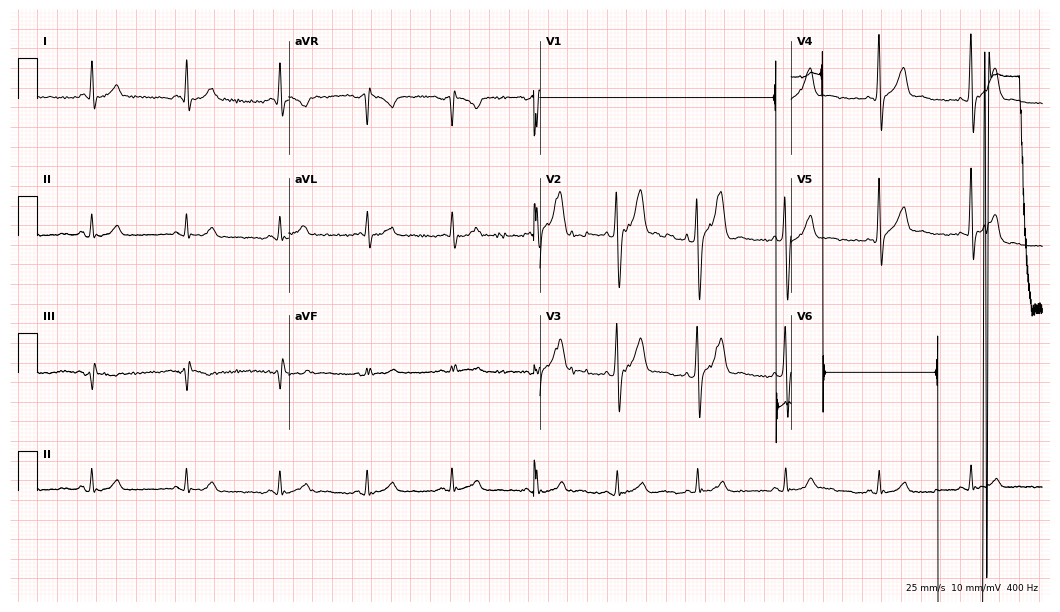
Standard 12-lead ECG recorded from a 35-year-old male (10.2-second recording at 400 Hz). None of these six findings is recorded: first-degree AV block, right bundle branch block, left bundle branch block, sinus bradycardia, atrial fibrillation, sinus tachycardia.